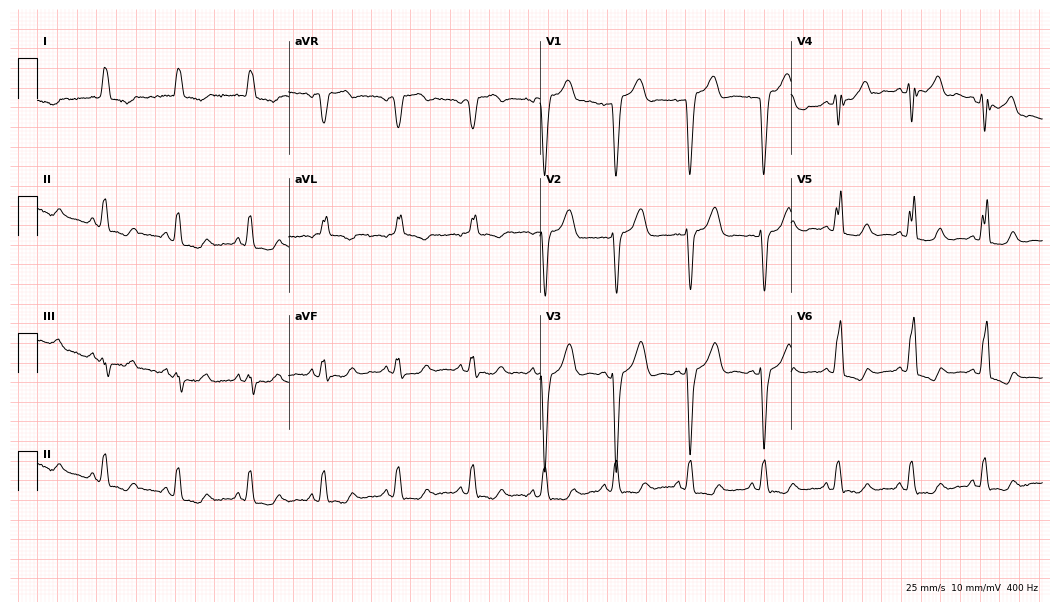
Standard 12-lead ECG recorded from a female, 71 years old (10.2-second recording at 400 Hz). The tracing shows left bundle branch block.